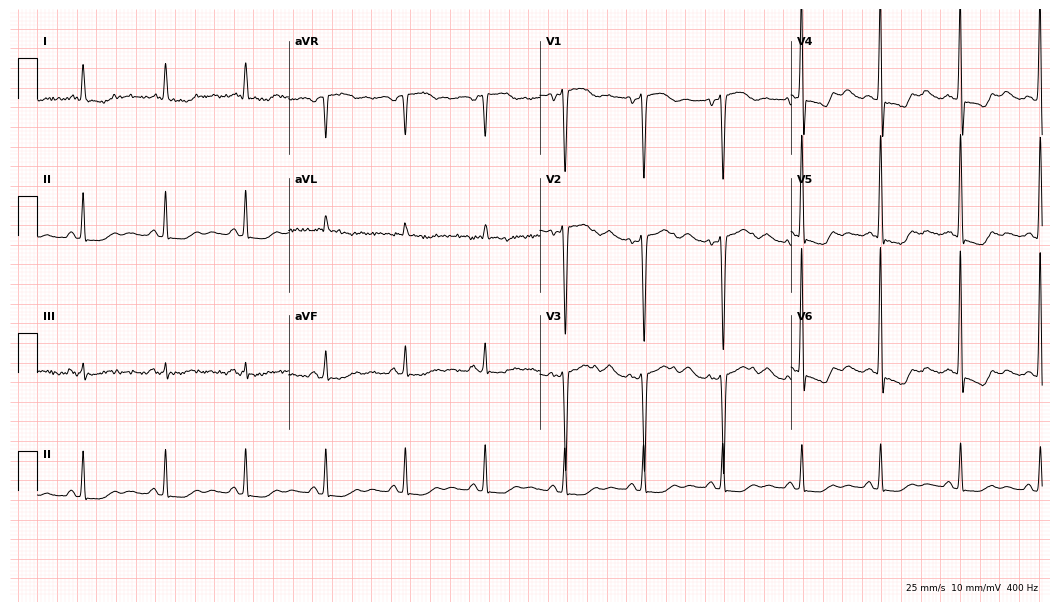
Resting 12-lead electrocardiogram. Patient: a 63-year-old male. None of these six findings is recorded: first-degree AV block, right bundle branch block, left bundle branch block, sinus bradycardia, atrial fibrillation, sinus tachycardia. Other findings, if any, are not listed.